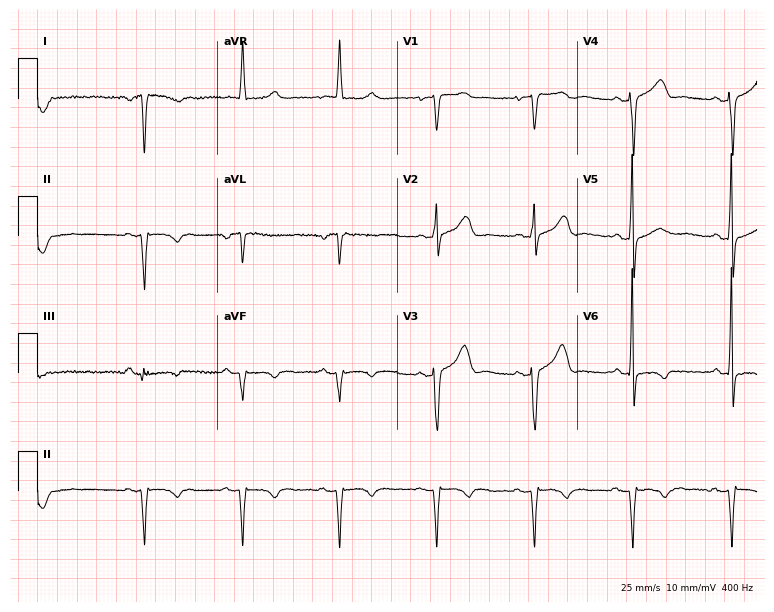
Standard 12-lead ECG recorded from a woman, 74 years old. None of these six findings is recorded: first-degree AV block, right bundle branch block, left bundle branch block, sinus bradycardia, atrial fibrillation, sinus tachycardia.